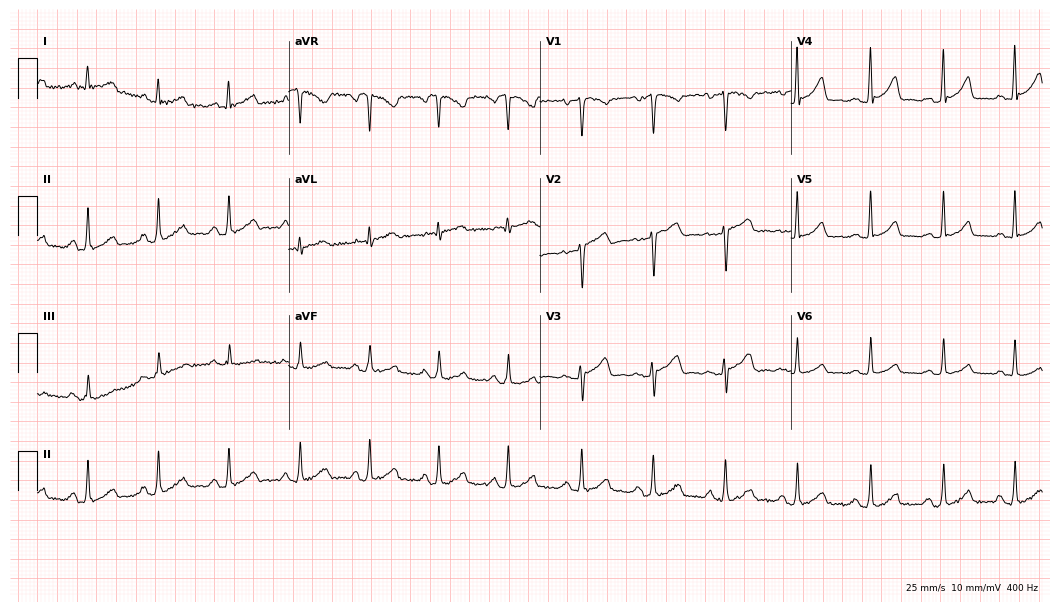
Standard 12-lead ECG recorded from a 51-year-old woman. Read as a normal ECG.